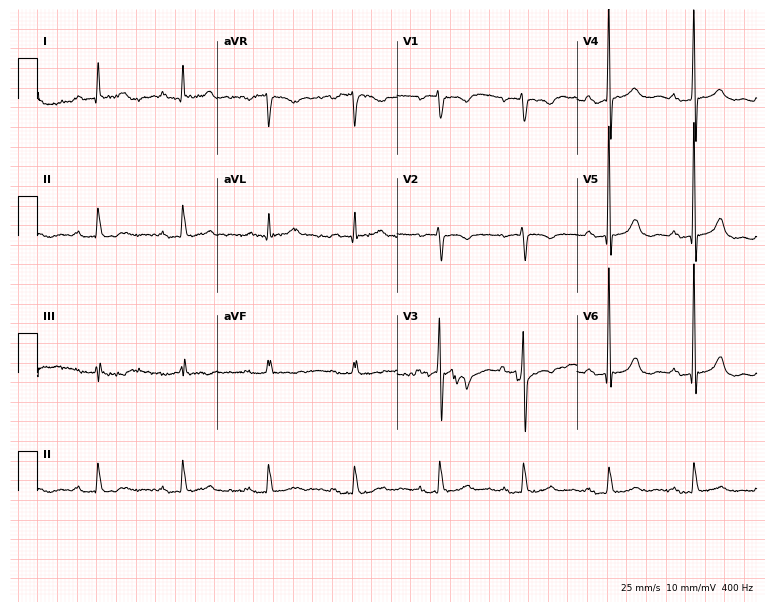
Resting 12-lead electrocardiogram. Patient: an 81-year-old male. The tracing shows first-degree AV block.